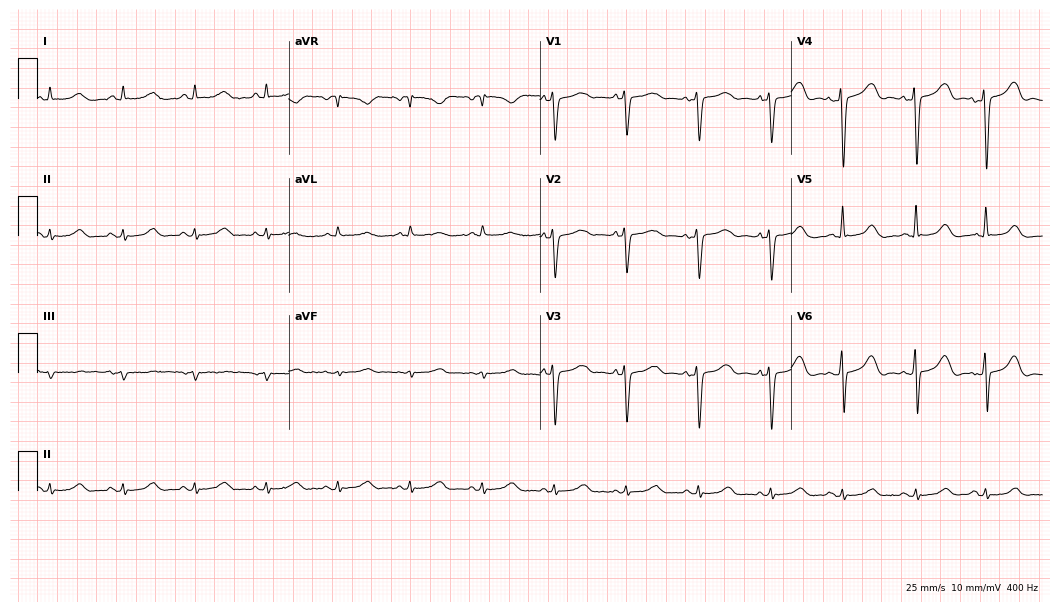
Standard 12-lead ECG recorded from a 57-year-old male patient (10.2-second recording at 400 Hz). Read as a normal ECG.